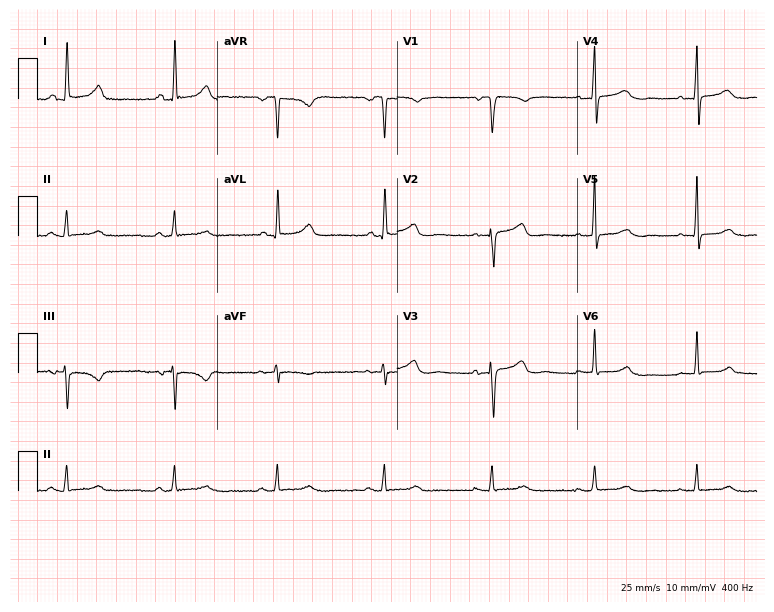
ECG (7.3-second recording at 400 Hz) — an 80-year-old female. Screened for six findings — first-degree AV block, right bundle branch block, left bundle branch block, sinus bradycardia, atrial fibrillation, sinus tachycardia — none is recorded.